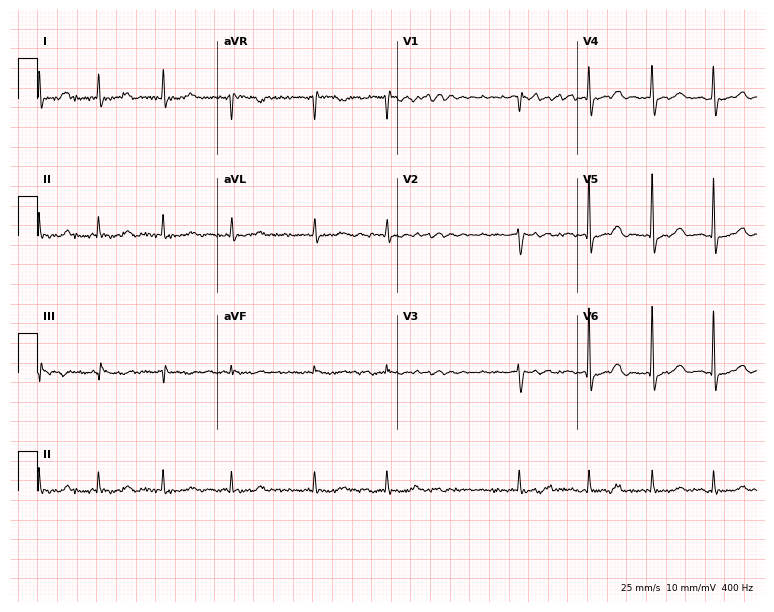
12-lead ECG (7.3-second recording at 400 Hz) from a 76-year-old female. Findings include atrial fibrillation.